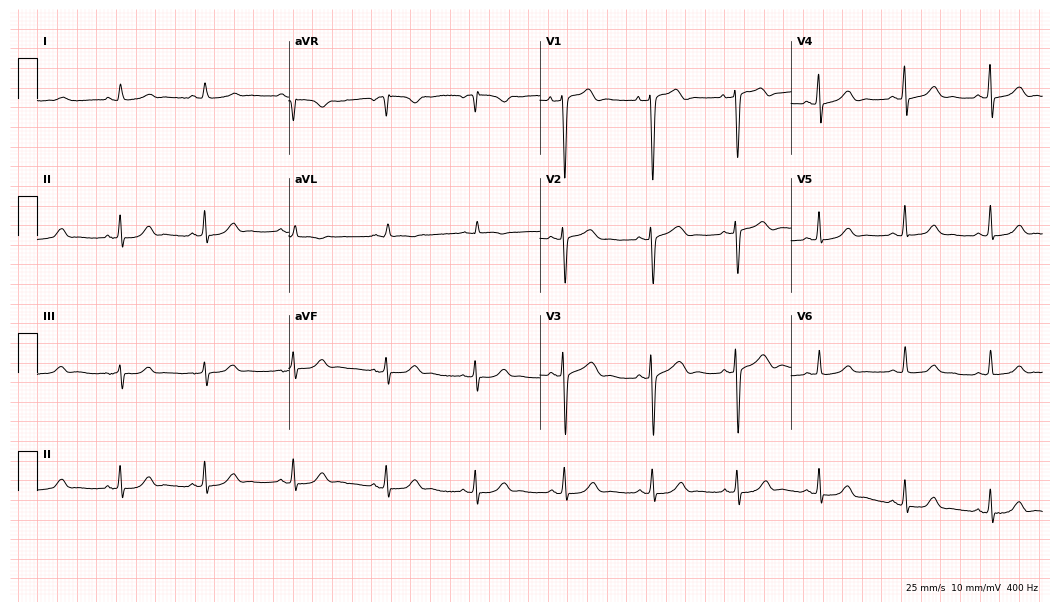
Resting 12-lead electrocardiogram (10.2-second recording at 400 Hz). Patient: a male, 68 years old. Read as a normal ECG.